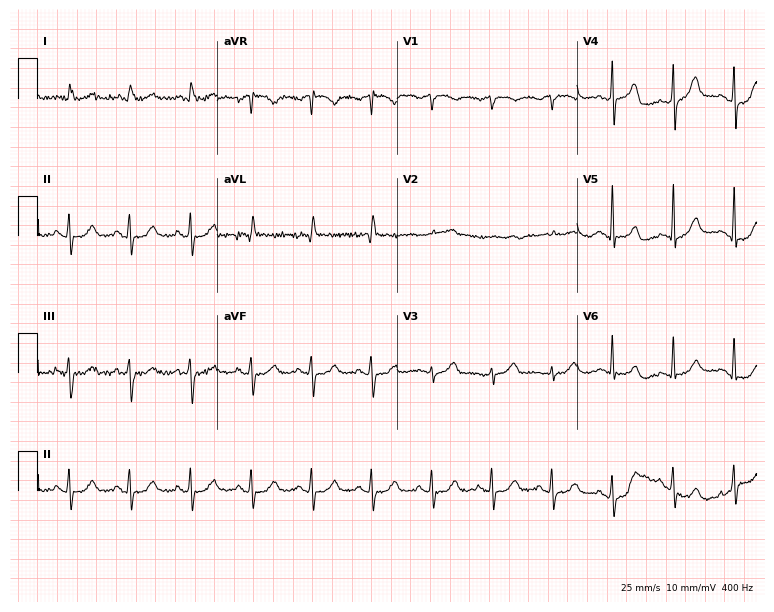
12-lead ECG from a male patient, 66 years old (7.3-second recording at 400 Hz). No first-degree AV block, right bundle branch block, left bundle branch block, sinus bradycardia, atrial fibrillation or sinus tachycardia recorded for this tracing. Findings outside these six are not listed.